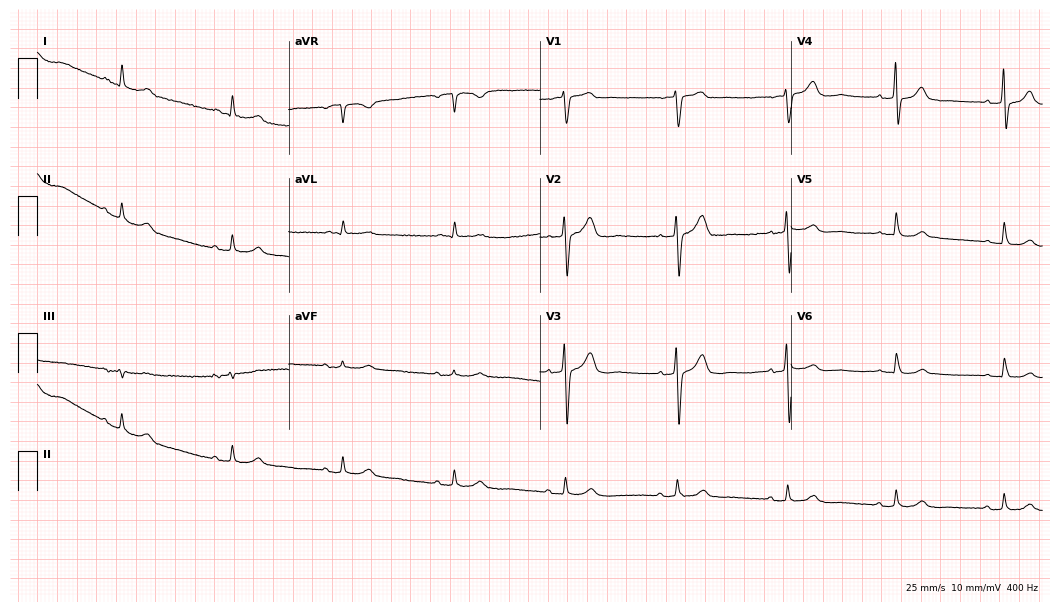
Electrocardiogram (10.2-second recording at 400 Hz), a male, 80 years old. Overall reading on record: normal ECG.